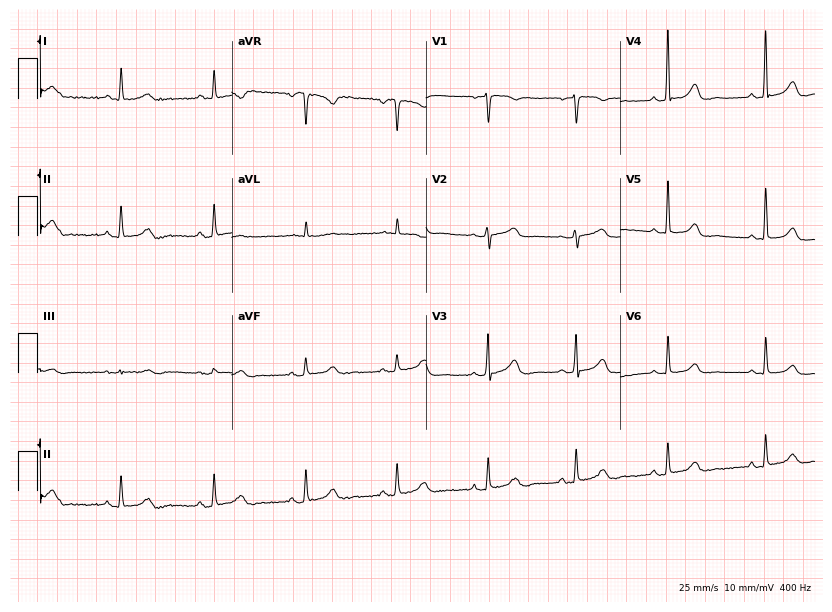
Standard 12-lead ECG recorded from a 65-year-old female patient (7.9-second recording at 400 Hz). Read as a normal ECG.